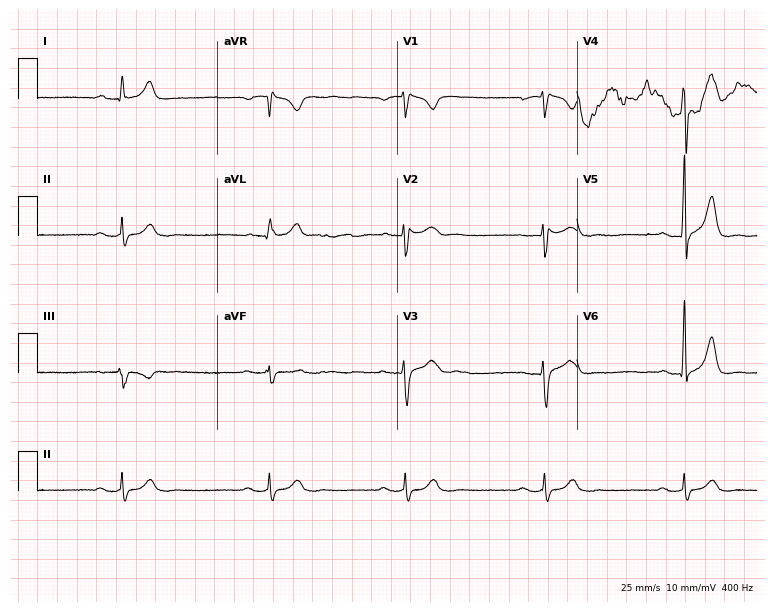
Electrocardiogram, a man, 48 years old. Of the six screened findings (first-degree AV block, right bundle branch block (RBBB), left bundle branch block (LBBB), sinus bradycardia, atrial fibrillation (AF), sinus tachycardia), none is recorded. Only these six findings were labelled.